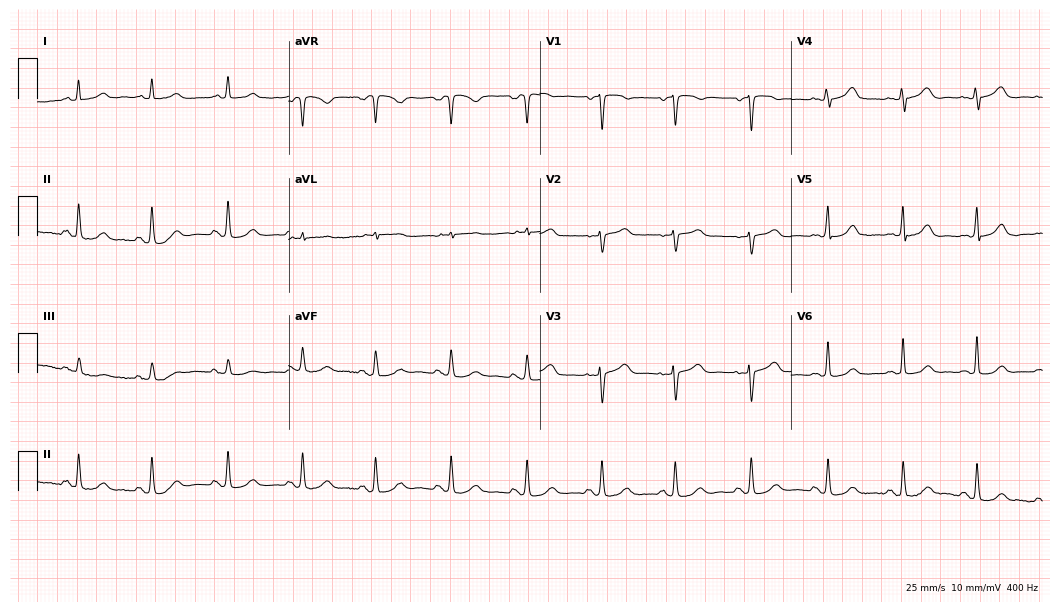
12-lead ECG from a female, 71 years old. Recorded interpretation: within normal limits.